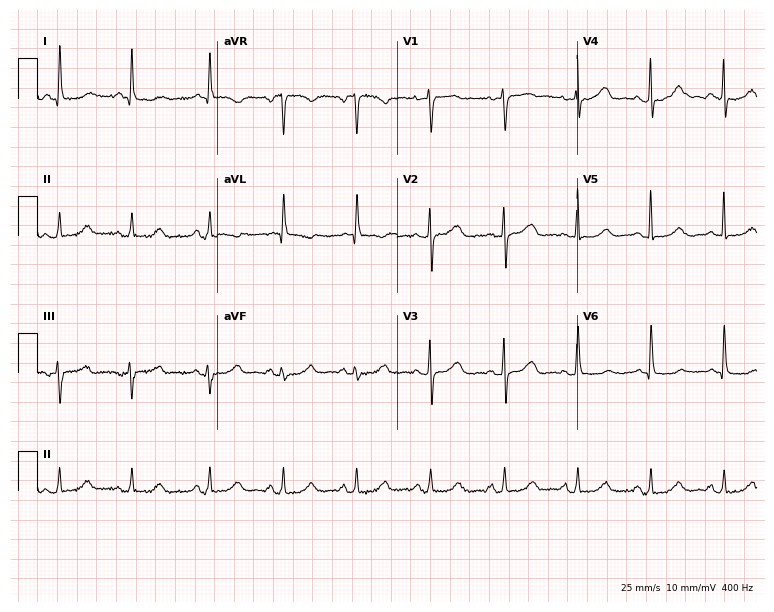
Resting 12-lead electrocardiogram. Patient: an 82-year-old female. Read as a normal ECG.